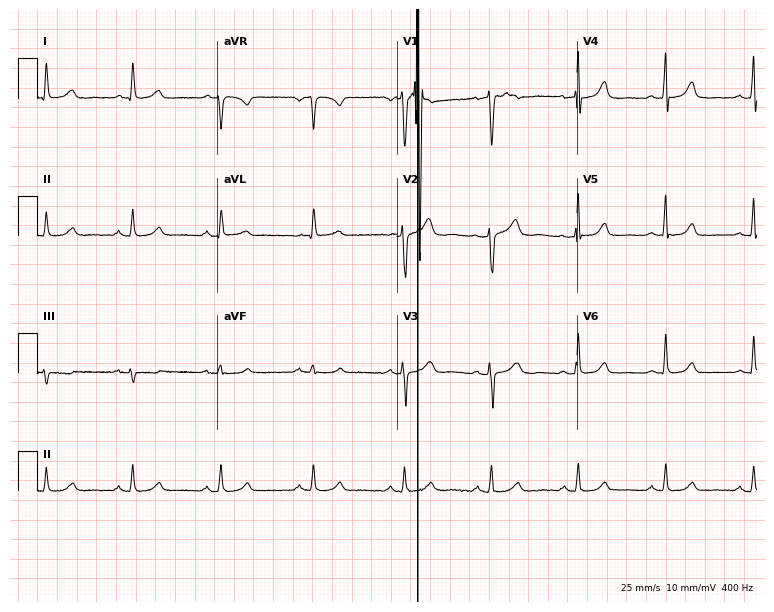
Standard 12-lead ECG recorded from a female, 58 years old (7.3-second recording at 400 Hz). None of these six findings is recorded: first-degree AV block, right bundle branch block, left bundle branch block, sinus bradycardia, atrial fibrillation, sinus tachycardia.